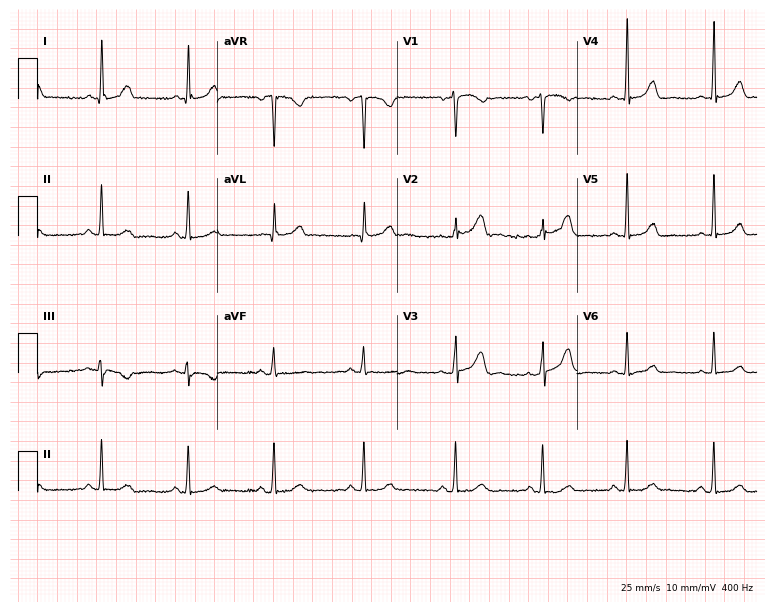
Electrocardiogram (7.3-second recording at 400 Hz), a female patient, 40 years old. Overall reading on record: normal ECG.